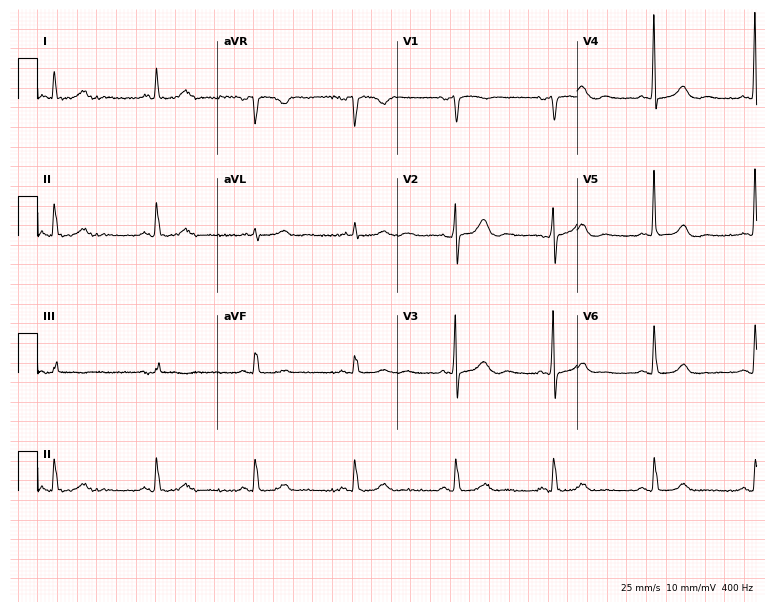
Resting 12-lead electrocardiogram. Patient: a woman, 77 years old. Read as a normal ECG.